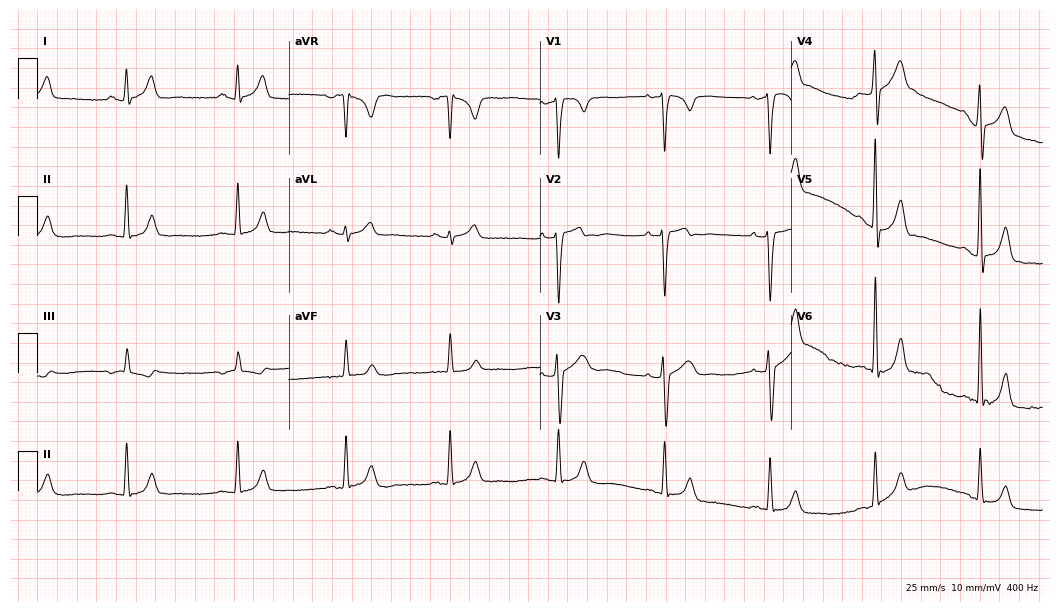
12-lead ECG from a male patient, 31 years old. Labelled as a normal ECG.